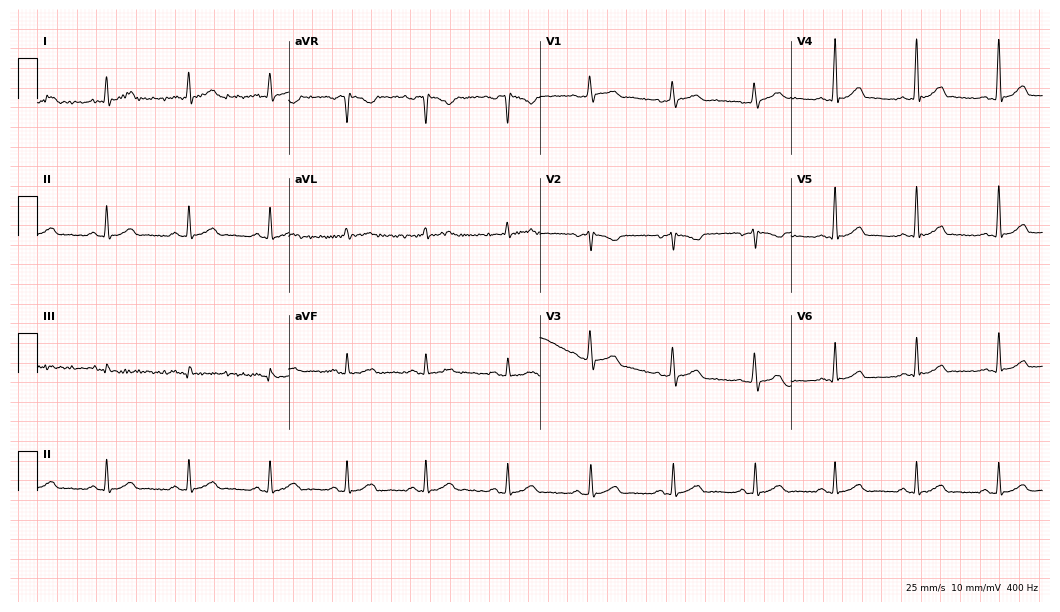
12-lead ECG (10.2-second recording at 400 Hz) from a 32-year-old female patient. Screened for six findings — first-degree AV block, right bundle branch block, left bundle branch block, sinus bradycardia, atrial fibrillation, sinus tachycardia — none is recorded.